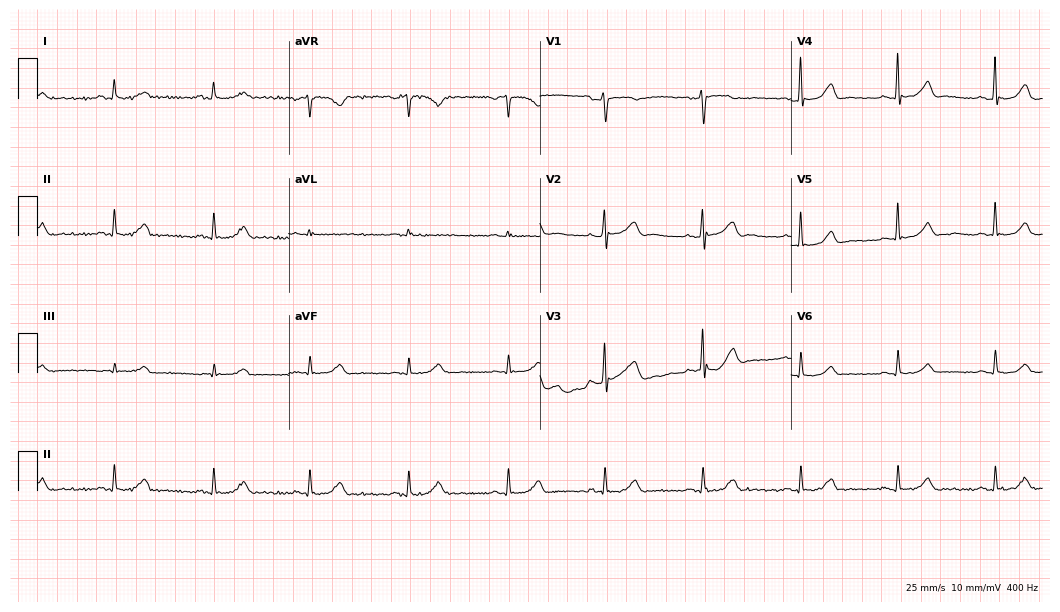
ECG — a female patient, 52 years old. Labelled as a normal ECG.